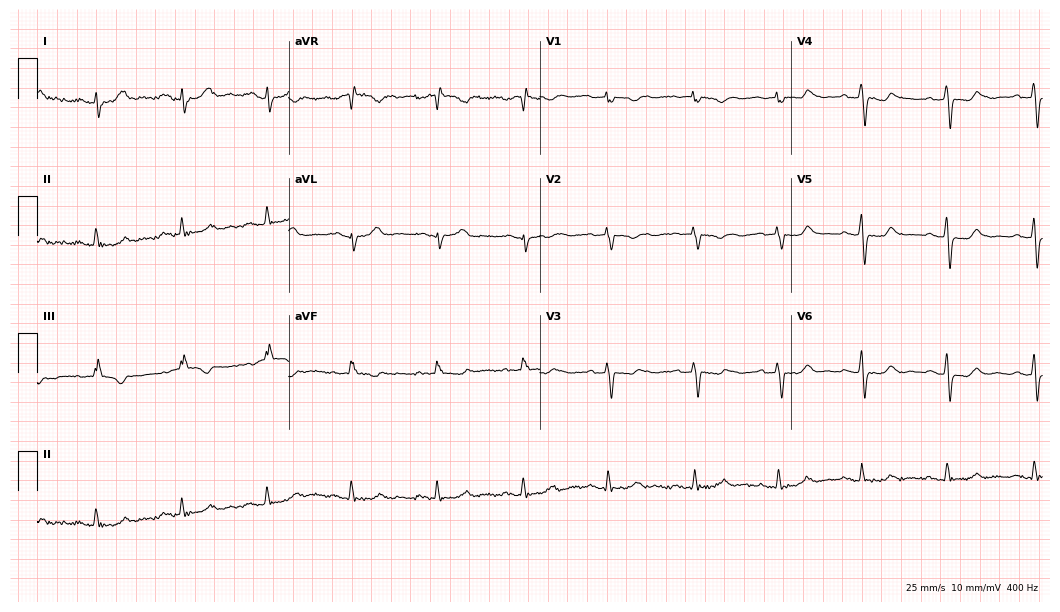
12-lead ECG (10.2-second recording at 400 Hz) from a female, 42 years old. Screened for six findings — first-degree AV block, right bundle branch block (RBBB), left bundle branch block (LBBB), sinus bradycardia, atrial fibrillation (AF), sinus tachycardia — none is recorded. Findings outside these six are not listed.